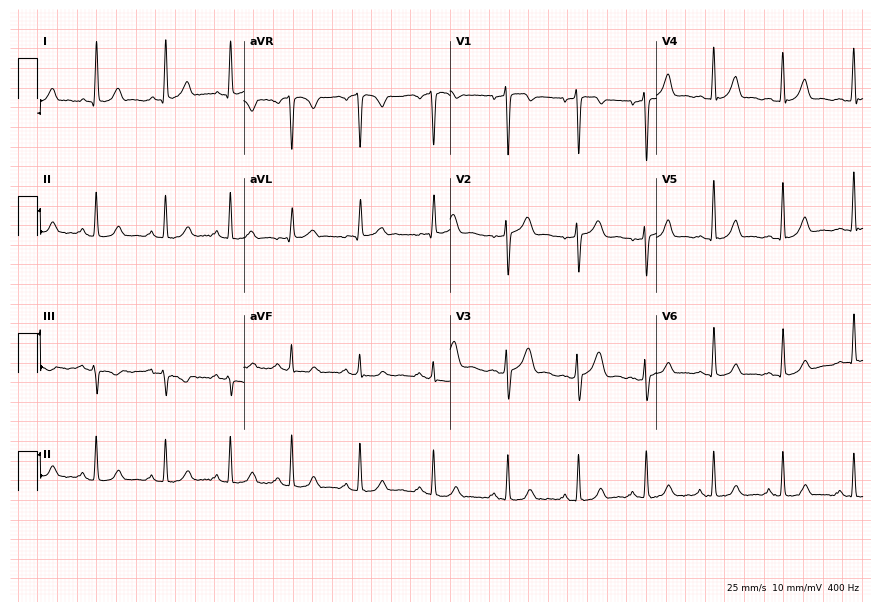
Resting 12-lead electrocardiogram. Patient: a 28-year-old female. Read as a normal ECG.